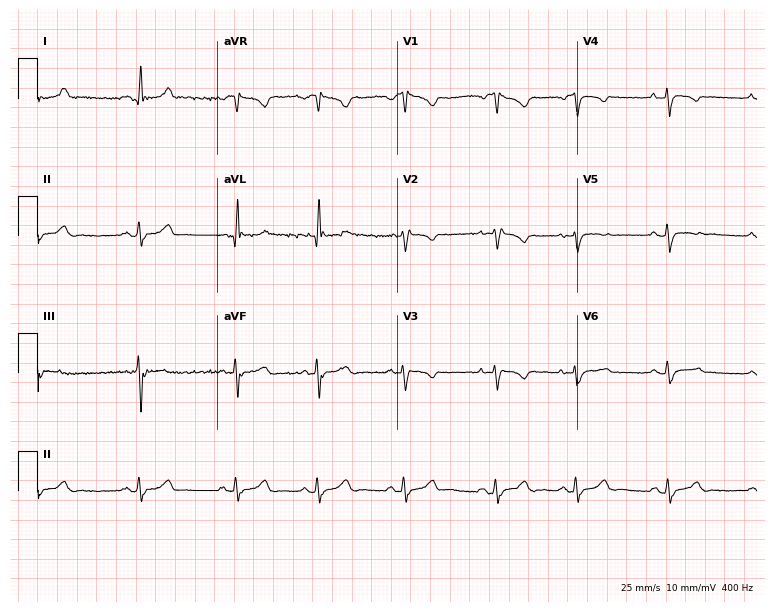
Electrocardiogram, a 23-year-old woman. Of the six screened findings (first-degree AV block, right bundle branch block (RBBB), left bundle branch block (LBBB), sinus bradycardia, atrial fibrillation (AF), sinus tachycardia), none is recorded.